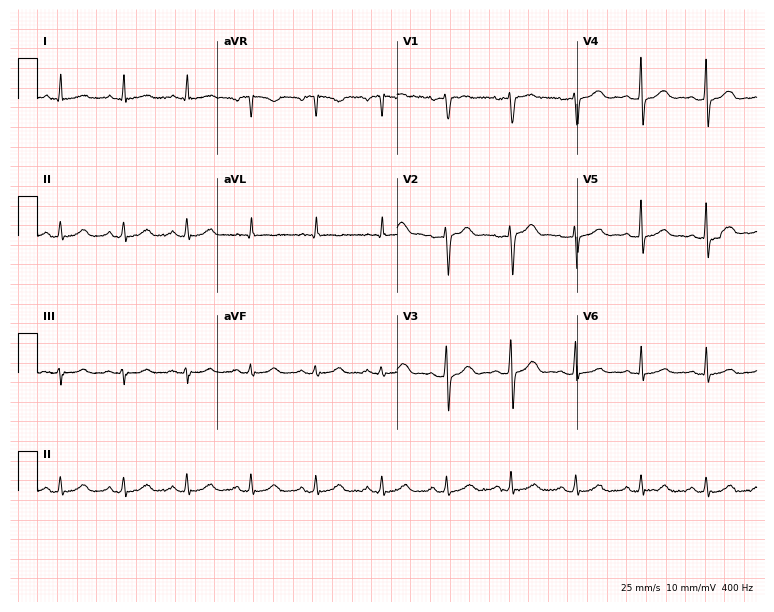
Electrocardiogram, a female, 38 years old. Overall reading on record: normal ECG.